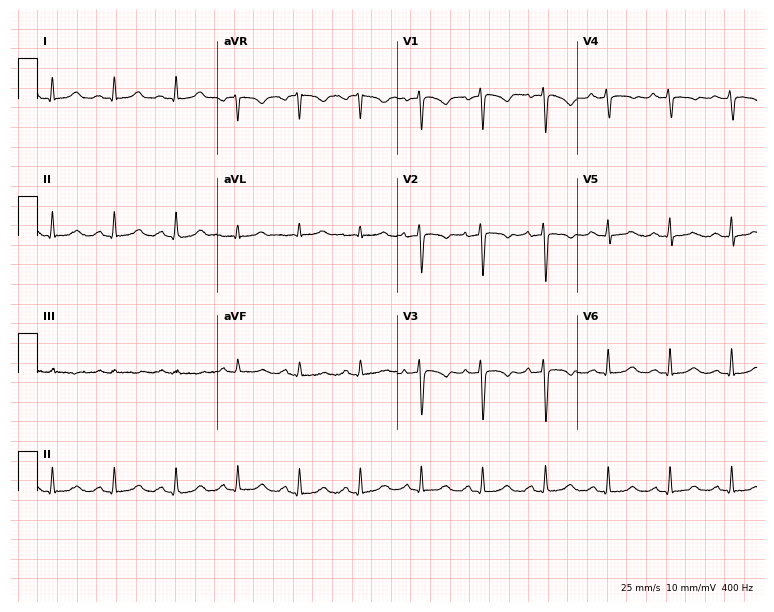
Electrocardiogram, a woman, 44 years old. Overall reading on record: normal ECG.